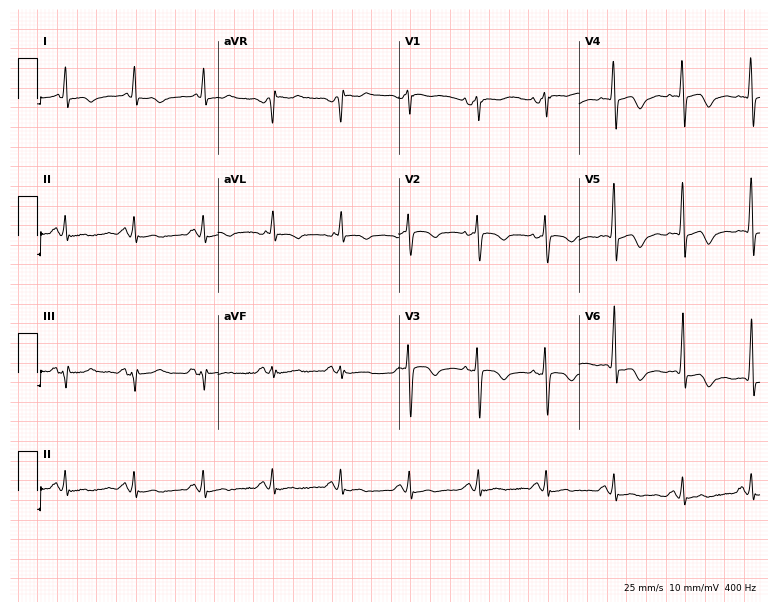
12-lead ECG from a 68-year-old female patient. Screened for six findings — first-degree AV block, right bundle branch block, left bundle branch block, sinus bradycardia, atrial fibrillation, sinus tachycardia — none is recorded. Other findings, if any, are not listed.